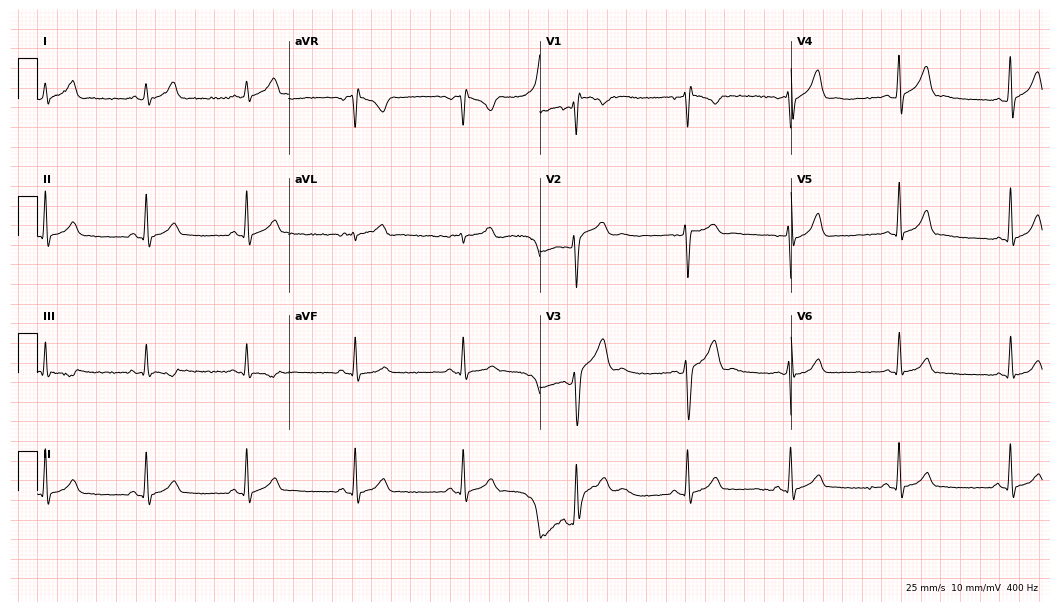
12-lead ECG from a male patient, 21 years old (10.2-second recording at 400 Hz). Recorded interpretation: within normal limits.